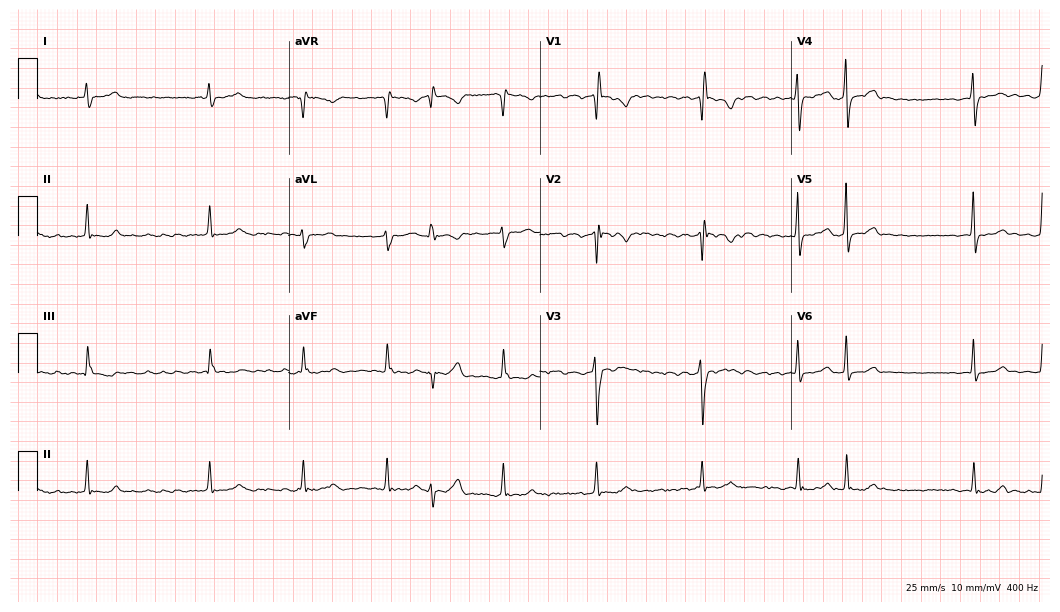
Resting 12-lead electrocardiogram. Patient: a male, 67 years old. The tracing shows atrial fibrillation.